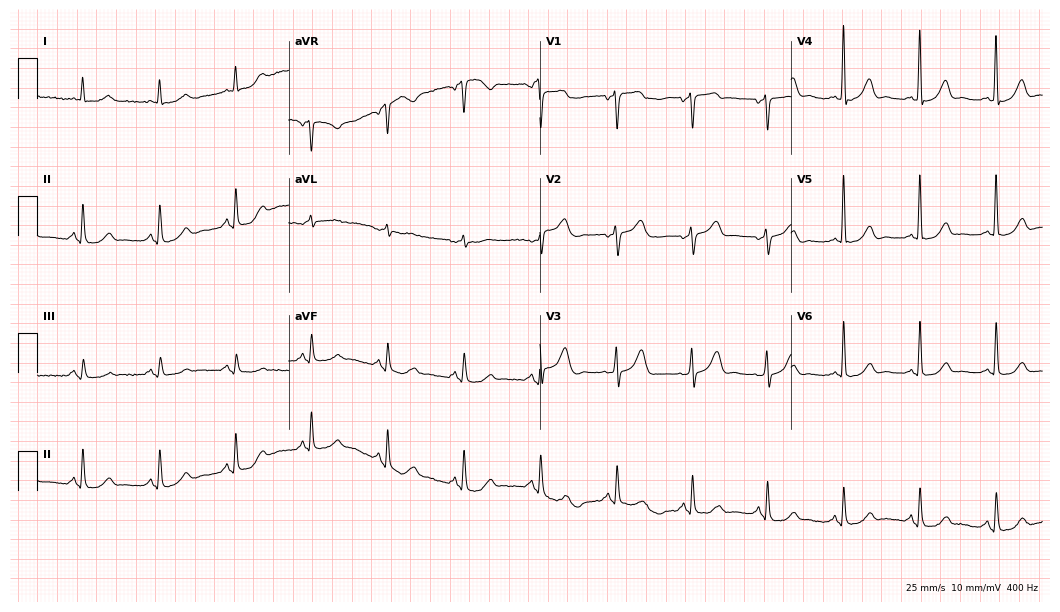
Electrocardiogram, a female patient, 74 years old. Overall reading on record: normal ECG.